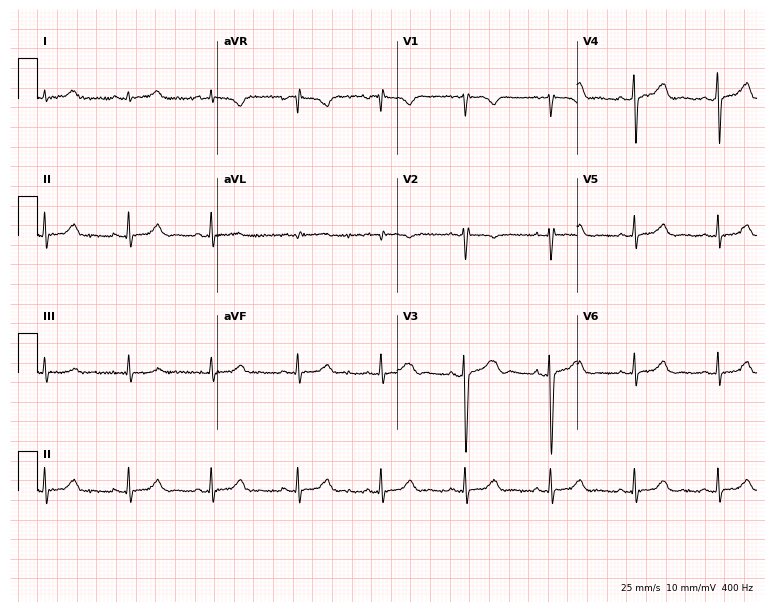
ECG — a female, 47 years old. Labelled as a normal ECG.